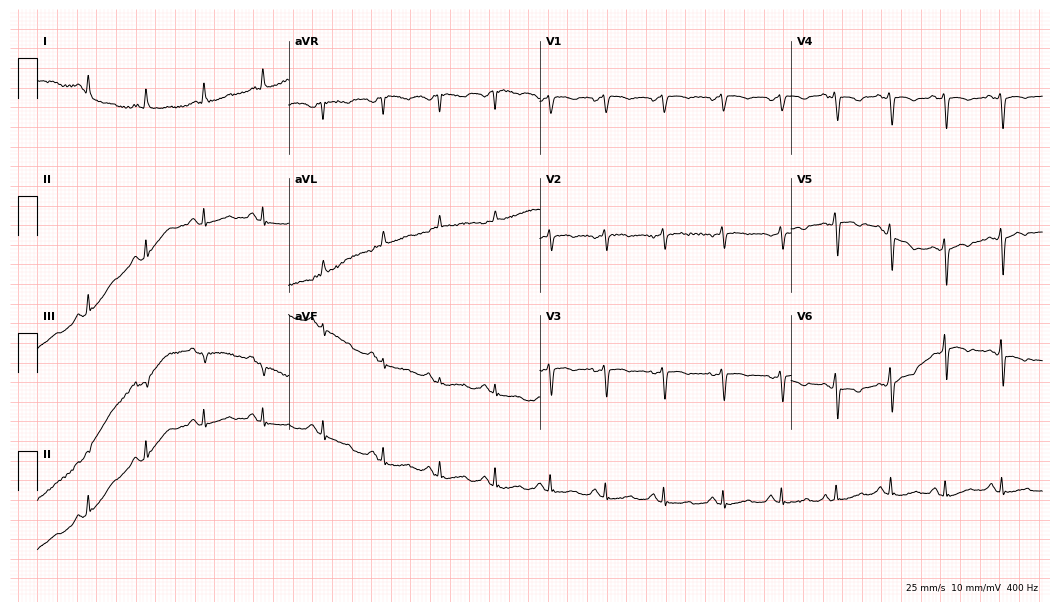
12-lead ECG from a female, 77 years old. No first-degree AV block, right bundle branch block, left bundle branch block, sinus bradycardia, atrial fibrillation or sinus tachycardia recorded for this tracing.